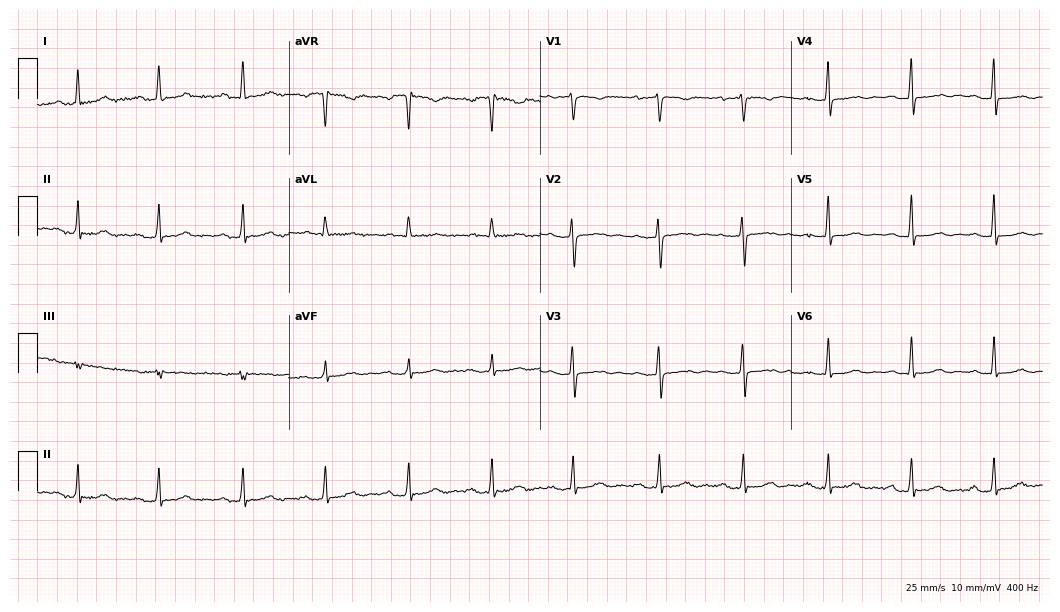
Resting 12-lead electrocardiogram. Patient: a female, 57 years old. None of these six findings is recorded: first-degree AV block, right bundle branch block, left bundle branch block, sinus bradycardia, atrial fibrillation, sinus tachycardia. Other findings, if any, are not listed.